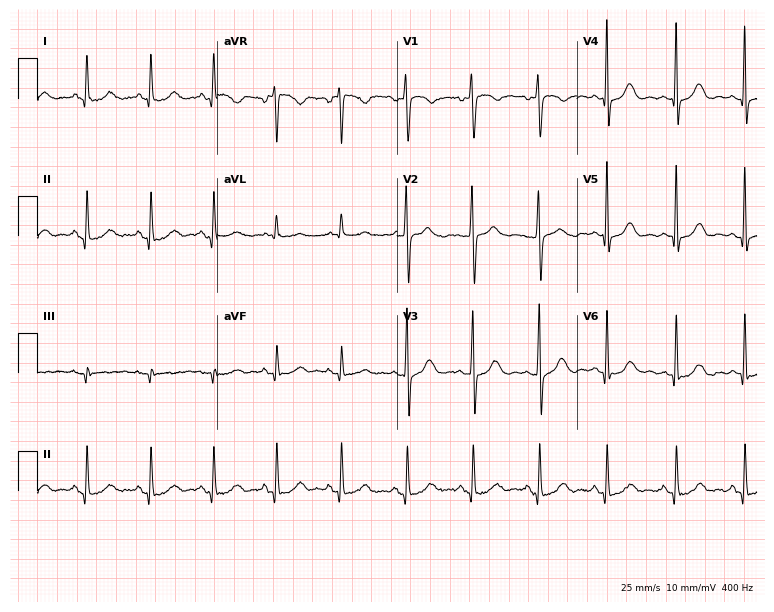
Standard 12-lead ECG recorded from a 60-year-old female patient (7.3-second recording at 400 Hz). None of these six findings is recorded: first-degree AV block, right bundle branch block (RBBB), left bundle branch block (LBBB), sinus bradycardia, atrial fibrillation (AF), sinus tachycardia. Findings outside these six are not listed.